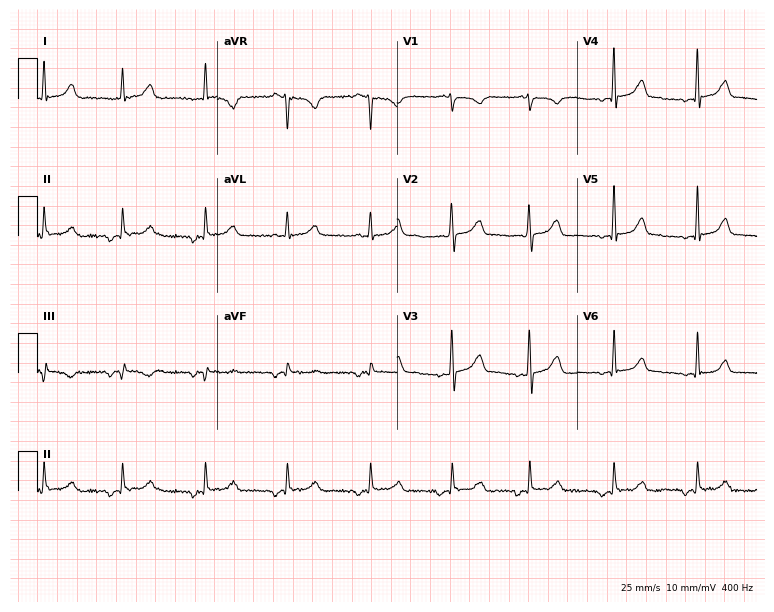
Electrocardiogram, a 46-year-old female. Of the six screened findings (first-degree AV block, right bundle branch block, left bundle branch block, sinus bradycardia, atrial fibrillation, sinus tachycardia), none is recorded. Other findings, if any, are not listed.